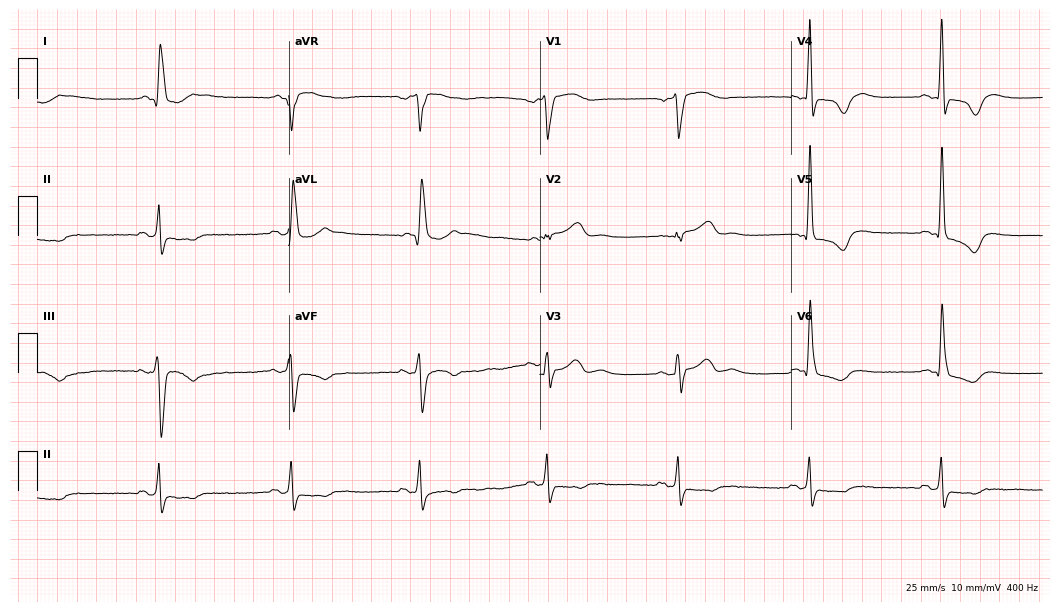
12-lead ECG from an 82-year-old male patient. Findings include sinus bradycardia (a sinus rate of 50 beats per minute or less).